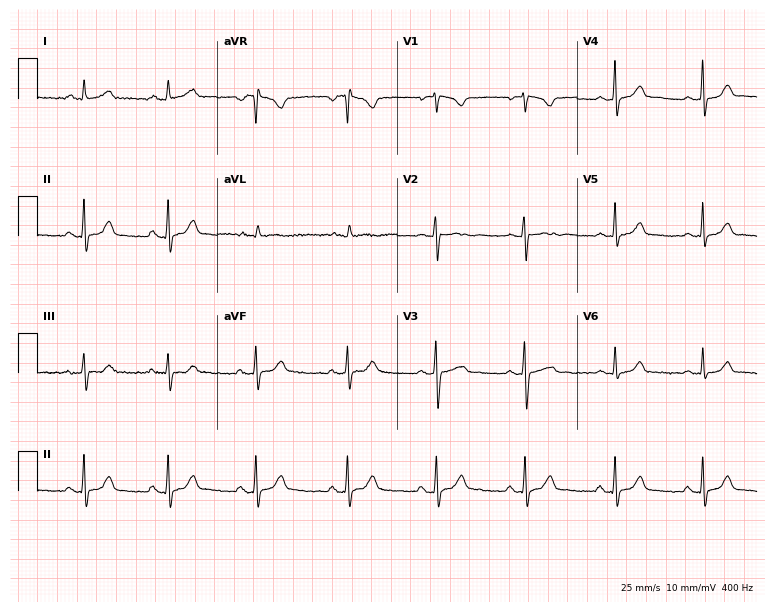
Electrocardiogram (7.3-second recording at 400 Hz), a 34-year-old female patient. Overall reading on record: normal ECG.